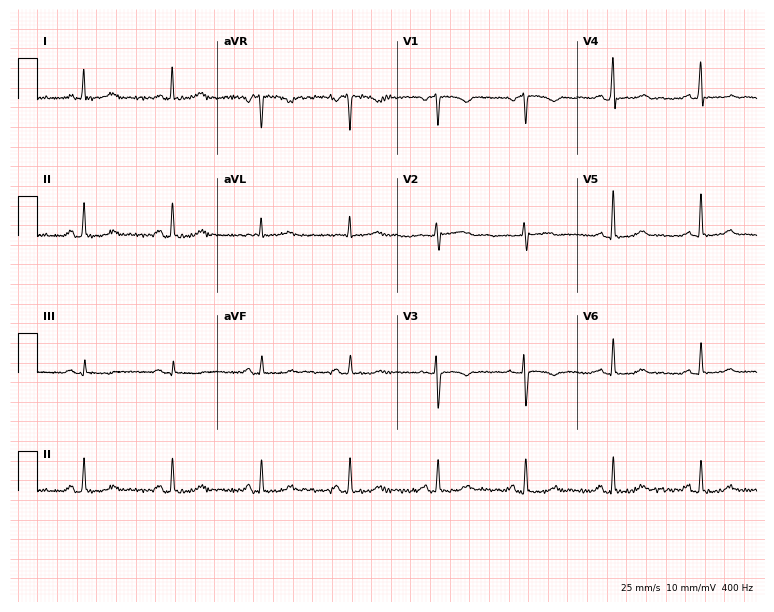
ECG (7.3-second recording at 400 Hz) — a 62-year-old woman. Screened for six findings — first-degree AV block, right bundle branch block, left bundle branch block, sinus bradycardia, atrial fibrillation, sinus tachycardia — none is recorded. Findings outside these six are not listed.